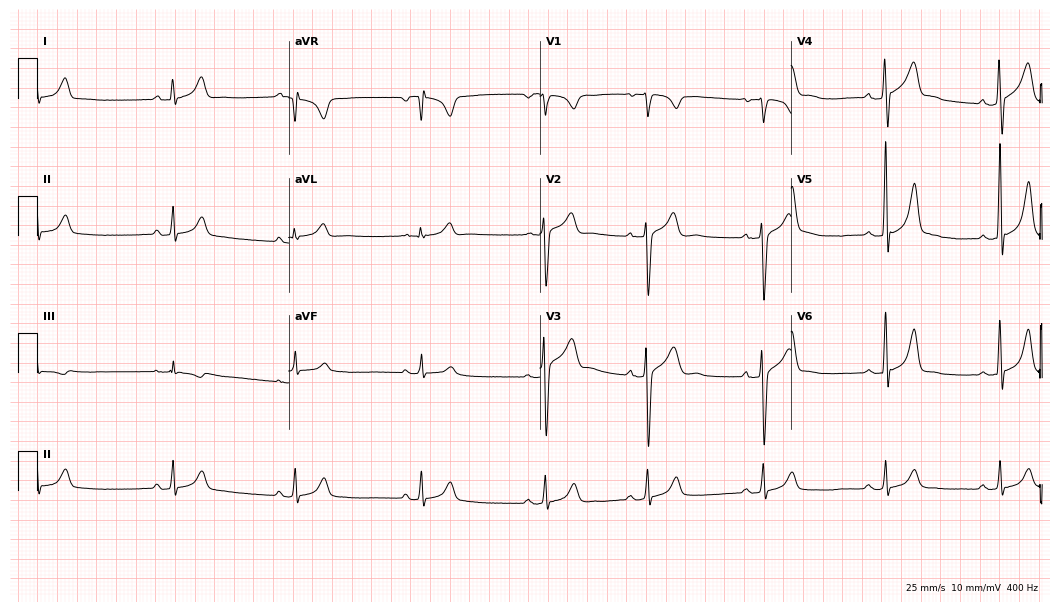
ECG (10.2-second recording at 400 Hz) — a male, 41 years old. Labelled as a normal ECG.